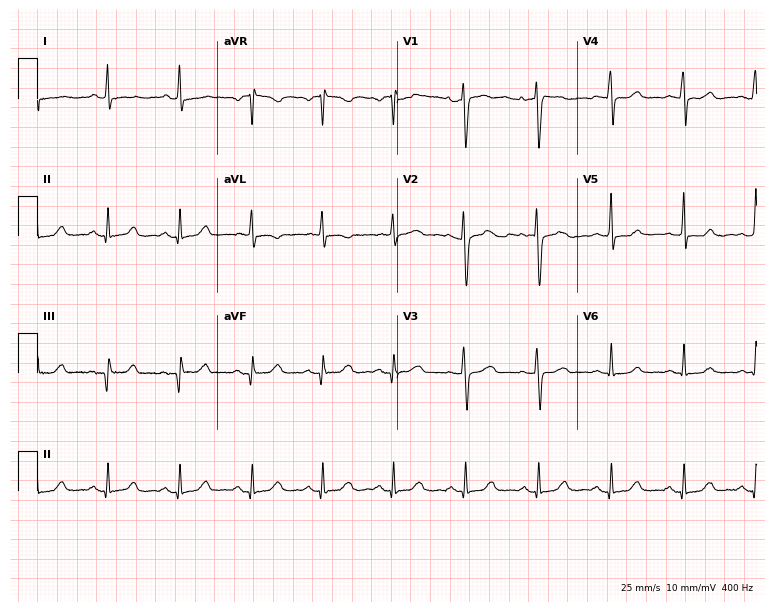
Electrocardiogram (7.3-second recording at 400 Hz), a female, 52 years old. Of the six screened findings (first-degree AV block, right bundle branch block (RBBB), left bundle branch block (LBBB), sinus bradycardia, atrial fibrillation (AF), sinus tachycardia), none is recorded.